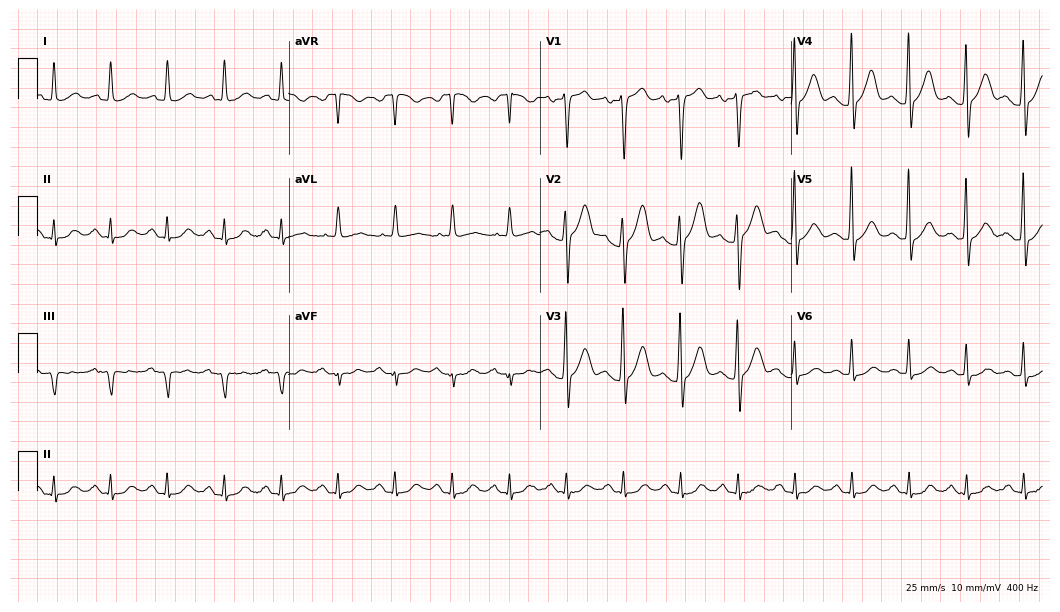
12-lead ECG (10.2-second recording at 400 Hz) from a male patient, 74 years old. Findings include sinus tachycardia (a sinus rate of 100 beats per minute or more).